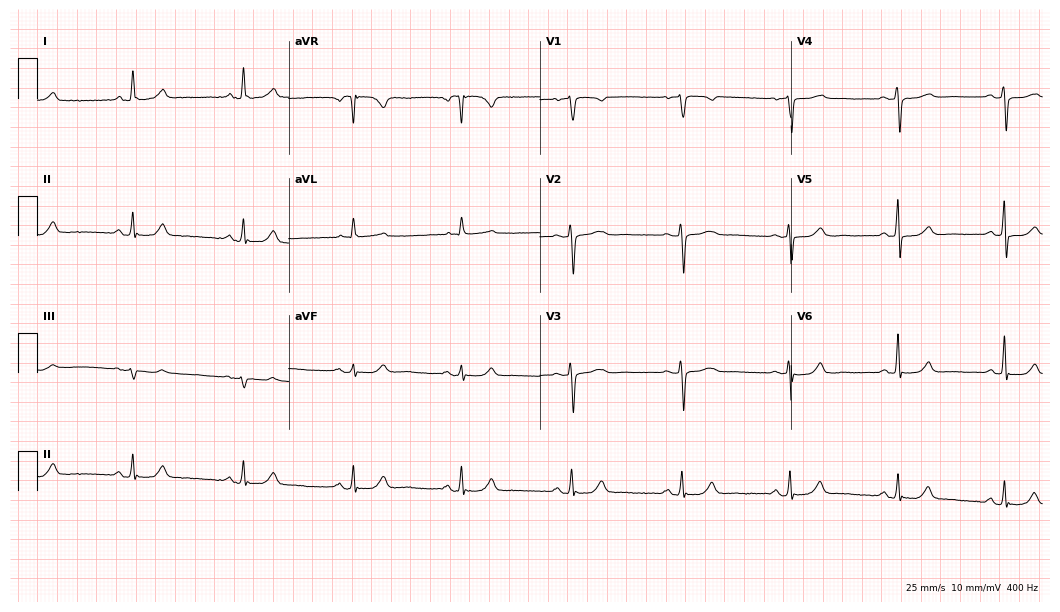
Resting 12-lead electrocardiogram. Patient: a 66-year-old female. Read as a normal ECG.